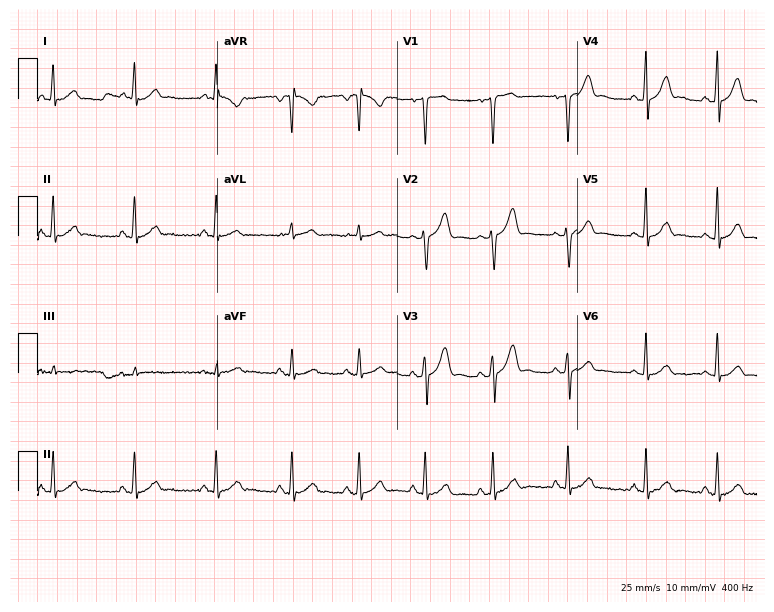
12-lead ECG (7.3-second recording at 400 Hz) from a 33-year-old male patient. Labelled as a normal ECG.